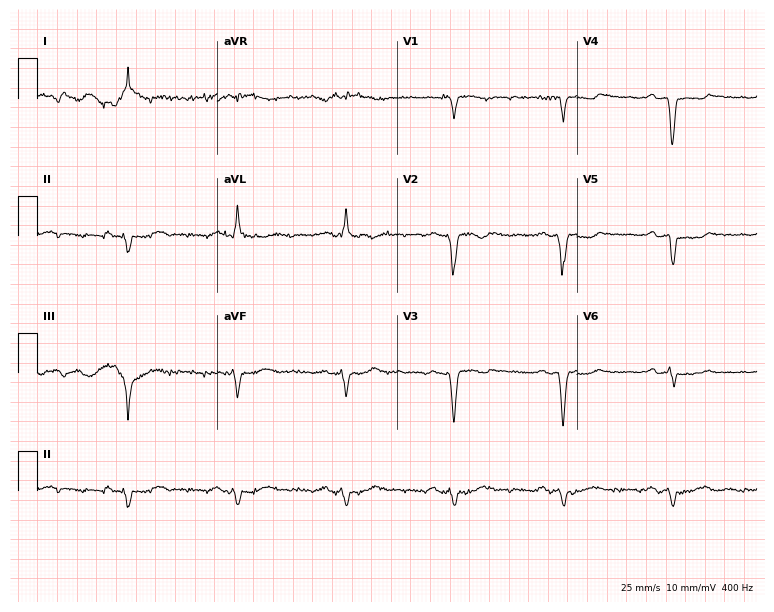
Resting 12-lead electrocardiogram (7.3-second recording at 400 Hz). Patient: a 77-year-old man. None of these six findings is recorded: first-degree AV block, right bundle branch block, left bundle branch block, sinus bradycardia, atrial fibrillation, sinus tachycardia. Only these six findings were labelled.